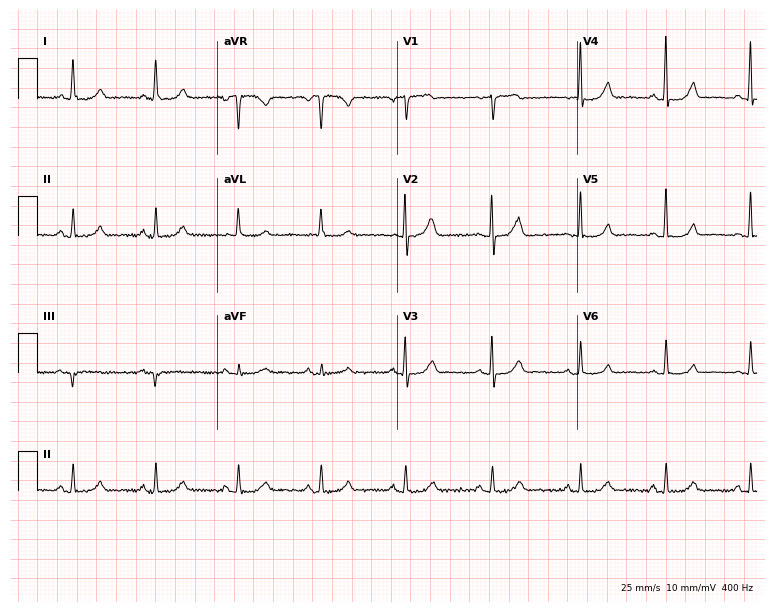
12-lead ECG (7.3-second recording at 400 Hz) from a female, 71 years old. Labelled as a normal ECG.